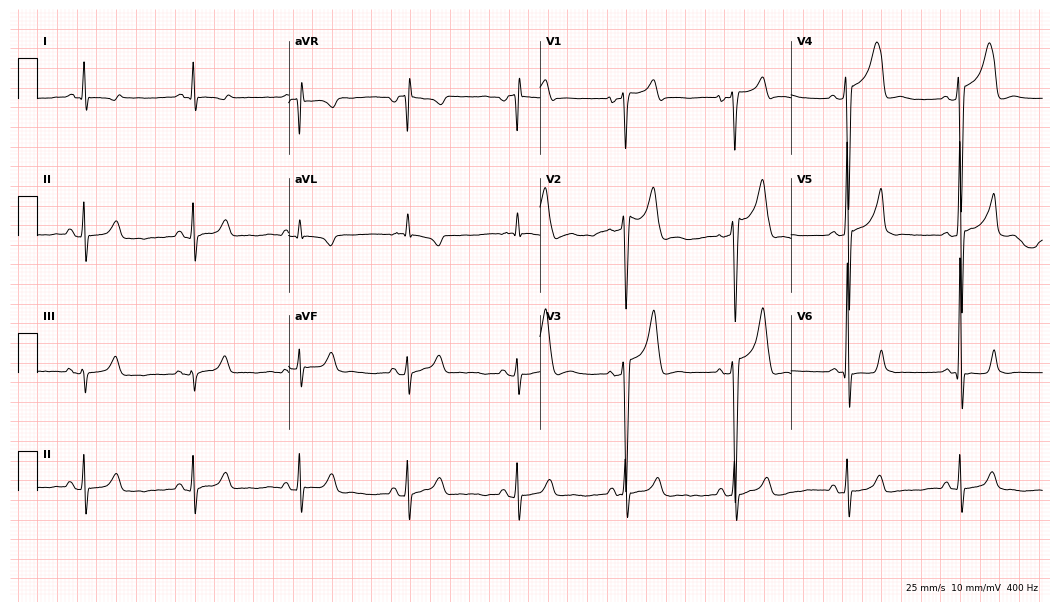
12-lead ECG (10.2-second recording at 400 Hz) from a 55-year-old male patient. Screened for six findings — first-degree AV block, right bundle branch block, left bundle branch block, sinus bradycardia, atrial fibrillation, sinus tachycardia — none is recorded.